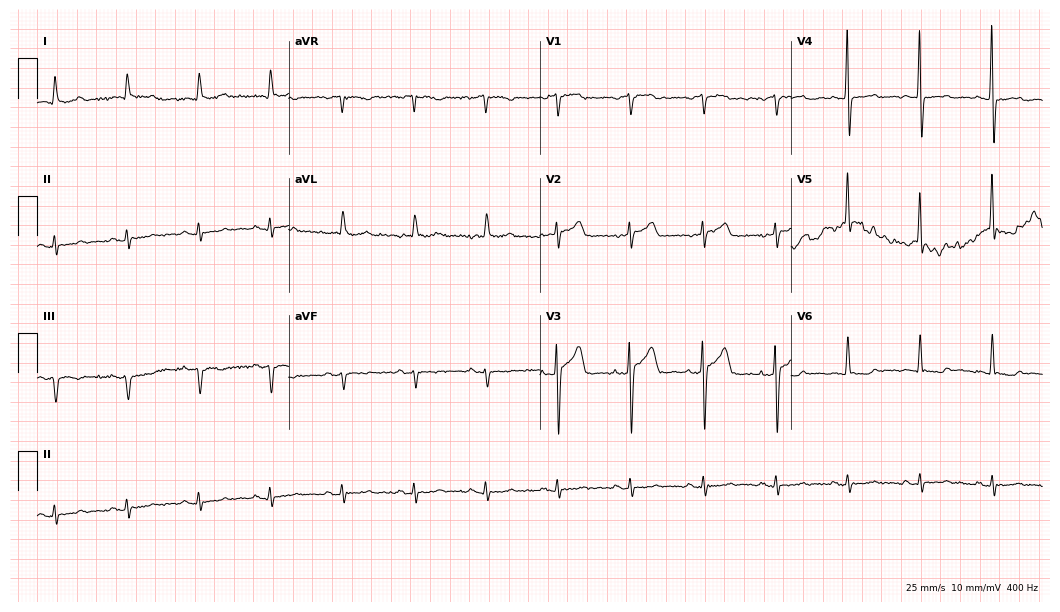
ECG (10.2-second recording at 400 Hz) — a male, 85 years old. Labelled as a normal ECG.